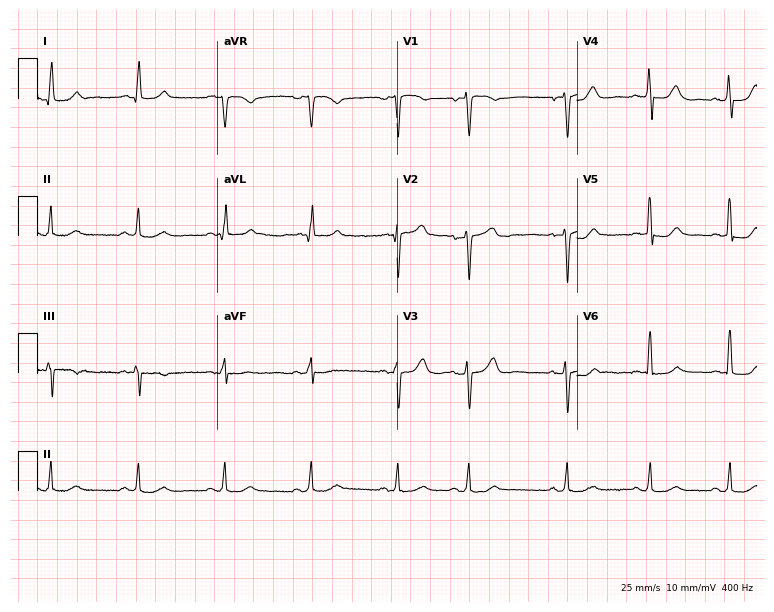
Resting 12-lead electrocardiogram (7.3-second recording at 400 Hz). Patient: a woman, 74 years old. None of these six findings is recorded: first-degree AV block, right bundle branch block, left bundle branch block, sinus bradycardia, atrial fibrillation, sinus tachycardia. Other findings, if any, are not listed.